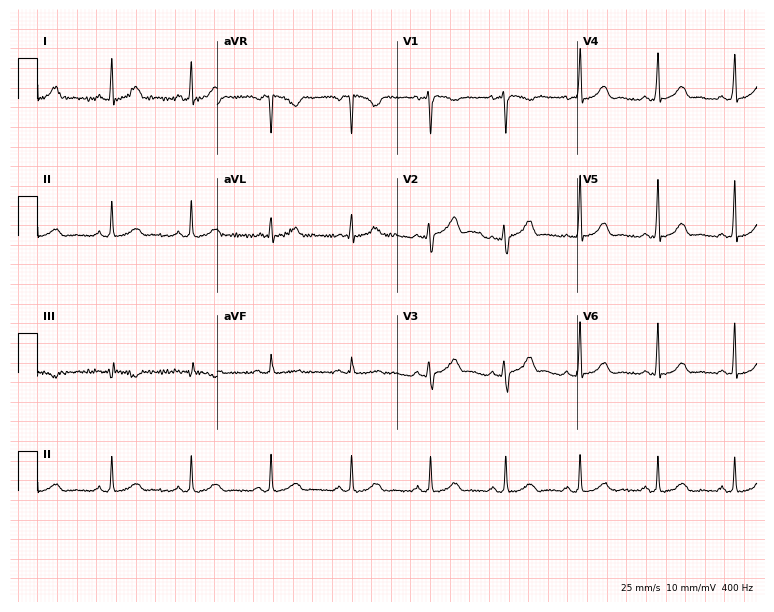
Standard 12-lead ECG recorded from a woman, 39 years old (7.3-second recording at 400 Hz). Read as a normal ECG.